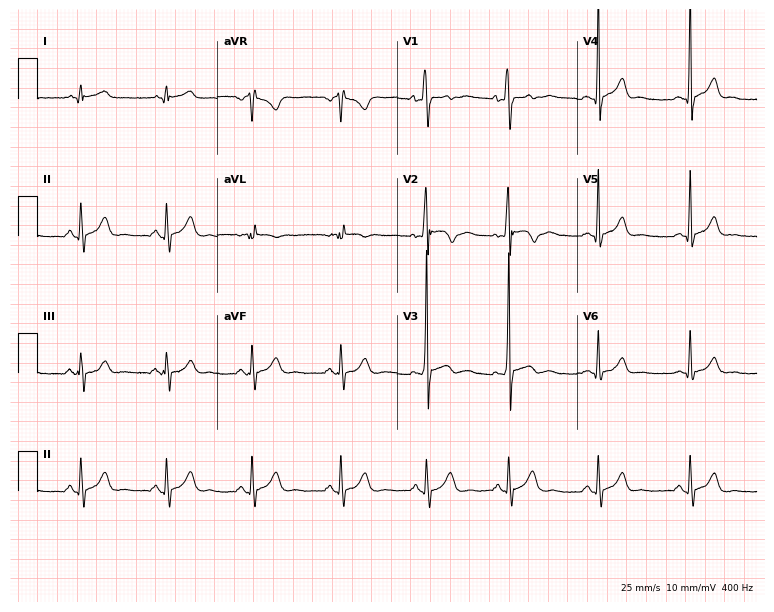
Standard 12-lead ECG recorded from a 20-year-old man (7.3-second recording at 400 Hz). Read as a normal ECG.